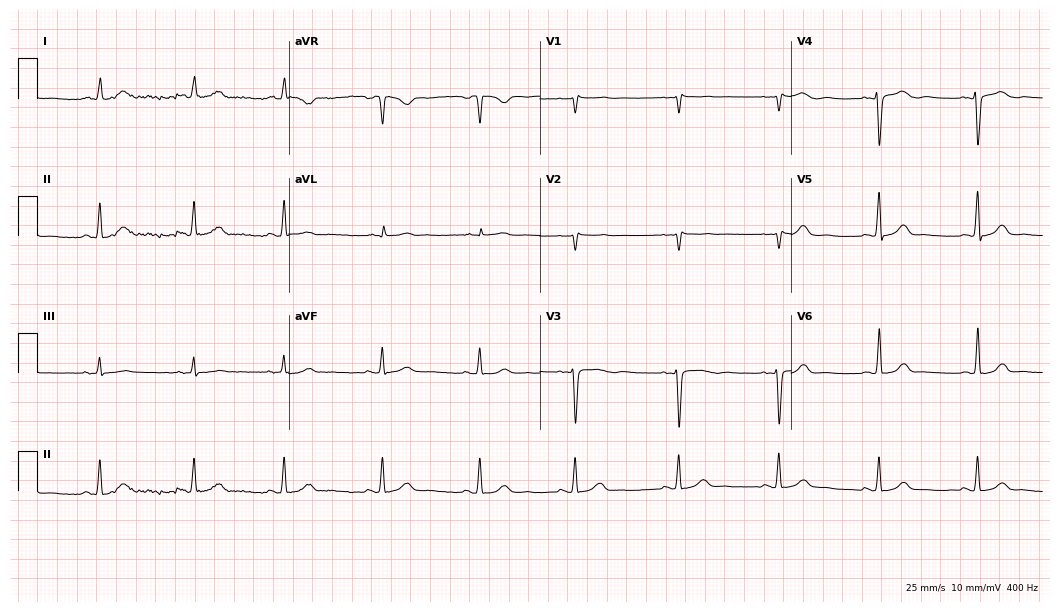
Resting 12-lead electrocardiogram (10.2-second recording at 400 Hz). Patient: a 30-year-old woman. None of these six findings is recorded: first-degree AV block, right bundle branch block, left bundle branch block, sinus bradycardia, atrial fibrillation, sinus tachycardia.